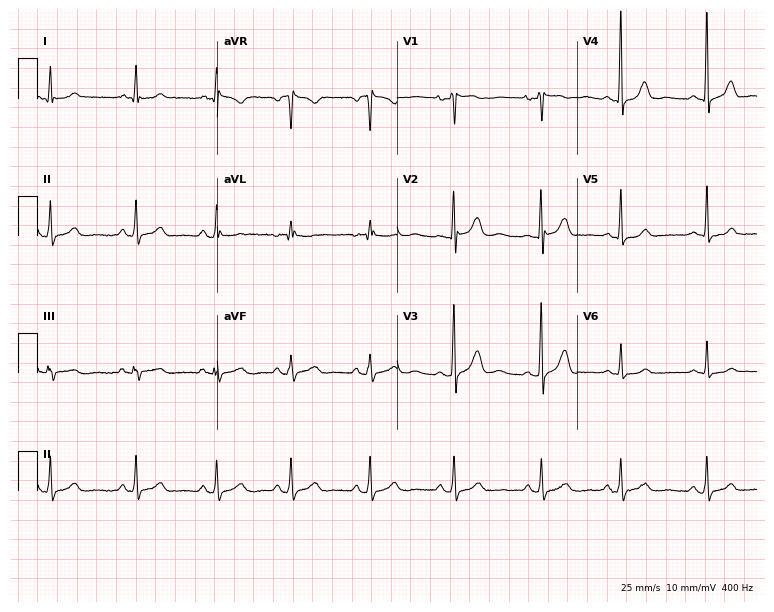
Electrocardiogram, a 21-year-old woman. Overall reading on record: normal ECG.